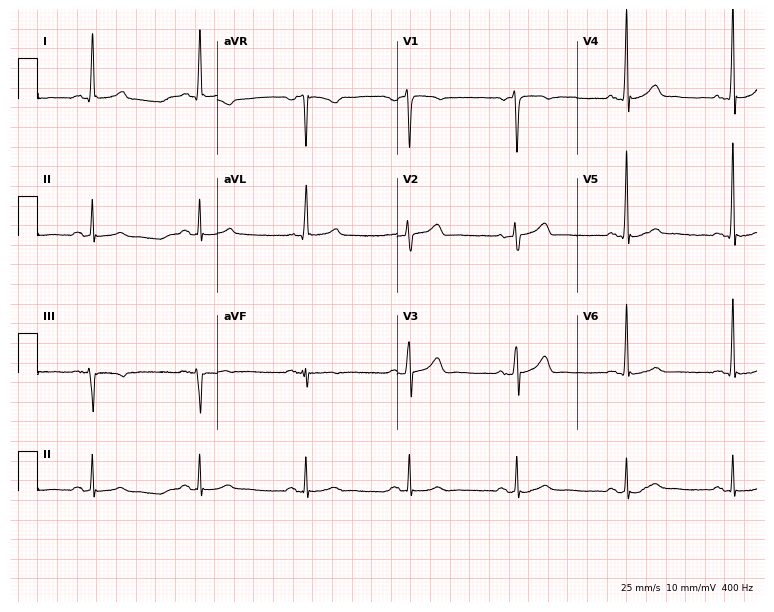
12-lead ECG from a female patient, 59 years old (7.3-second recording at 400 Hz). No first-degree AV block, right bundle branch block (RBBB), left bundle branch block (LBBB), sinus bradycardia, atrial fibrillation (AF) or sinus tachycardia recorded for this tracing. Findings outside these six are not listed.